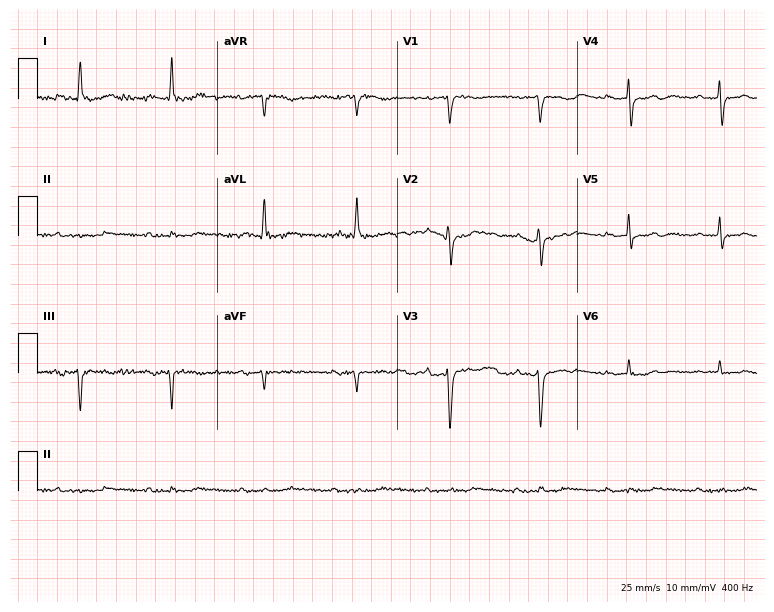
12-lead ECG from a man, 69 years old (7.3-second recording at 400 Hz). No first-degree AV block, right bundle branch block, left bundle branch block, sinus bradycardia, atrial fibrillation or sinus tachycardia recorded for this tracing. Only these six findings were labelled.